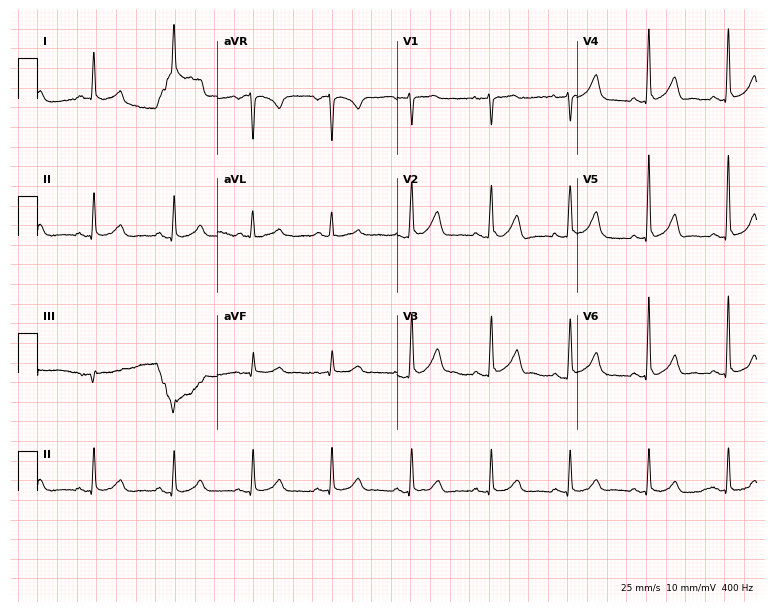
ECG (7.3-second recording at 400 Hz) — a 68-year-old woman. Screened for six findings — first-degree AV block, right bundle branch block, left bundle branch block, sinus bradycardia, atrial fibrillation, sinus tachycardia — none is recorded.